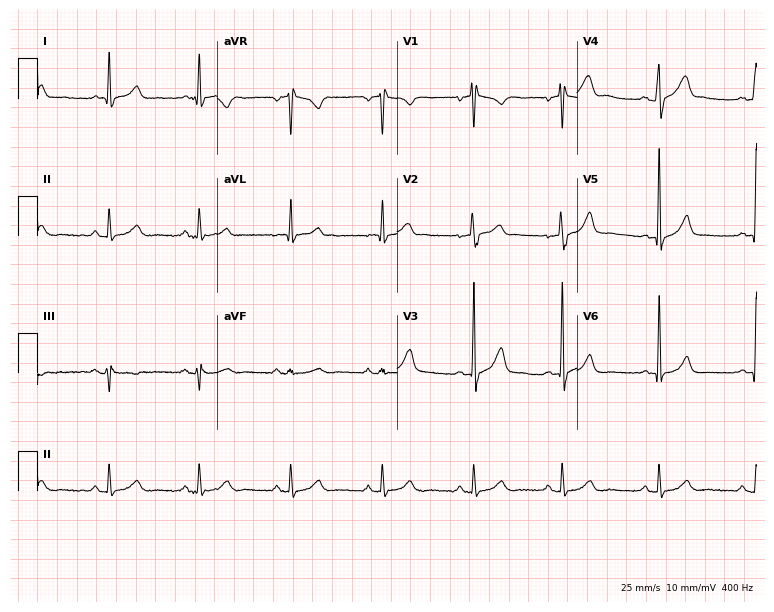
ECG — a male, 35 years old. Labelled as a normal ECG.